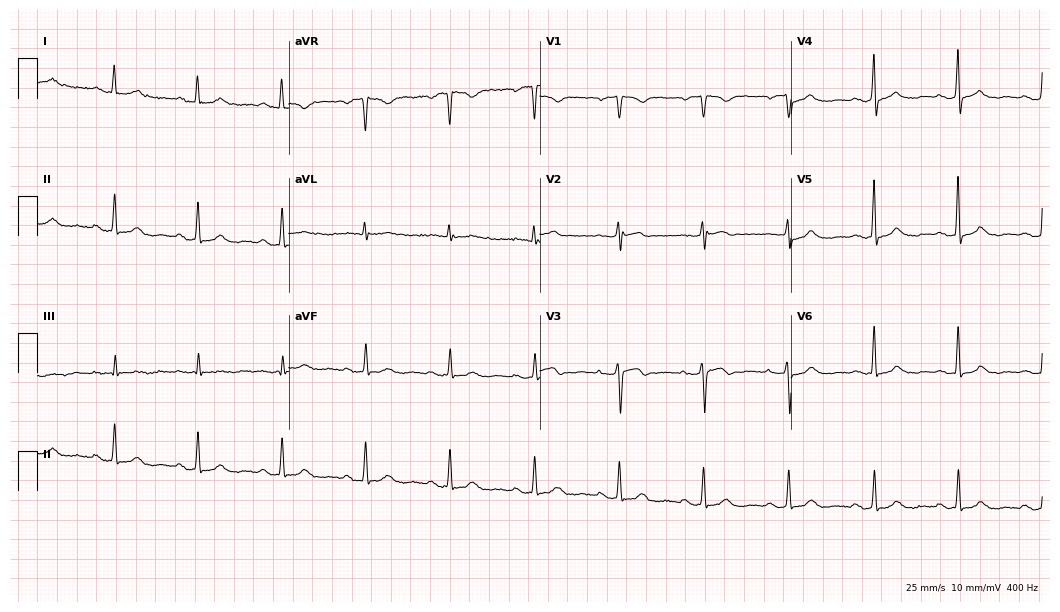
Standard 12-lead ECG recorded from a woman, 59 years old. None of these six findings is recorded: first-degree AV block, right bundle branch block, left bundle branch block, sinus bradycardia, atrial fibrillation, sinus tachycardia. Only these six findings were labelled.